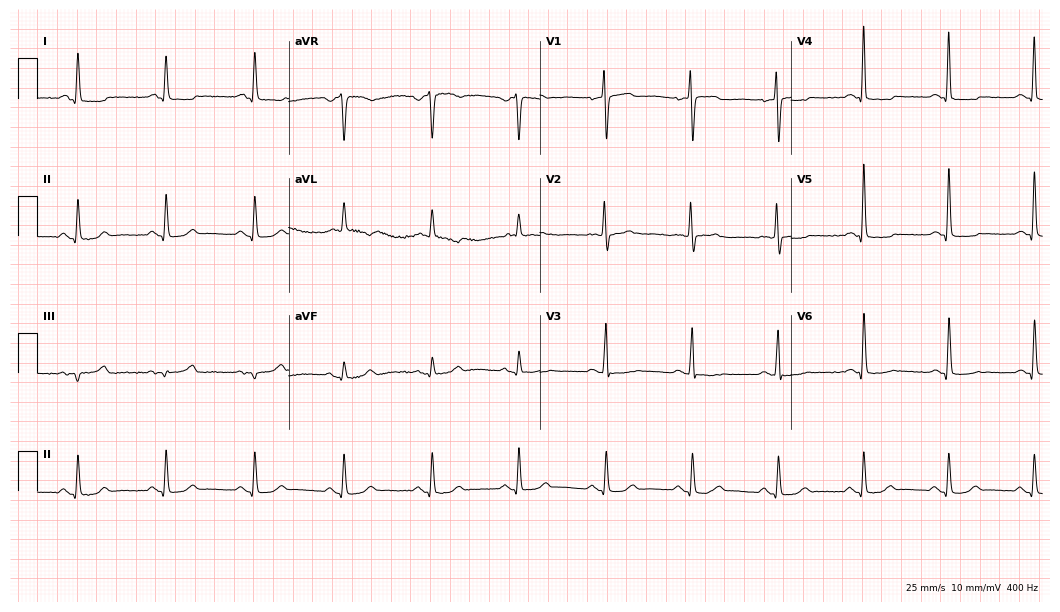
12-lead ECG (10.2-second recording at 400 Hz) from a 60-year-old female patient. Screened for six findings — first-degree AV block, right bundle branch block, left bundle branch block, sinus bradycardia, atrial fibrillation, sinus tachycardia — none is recorded. Other findings, if any, are not listed.